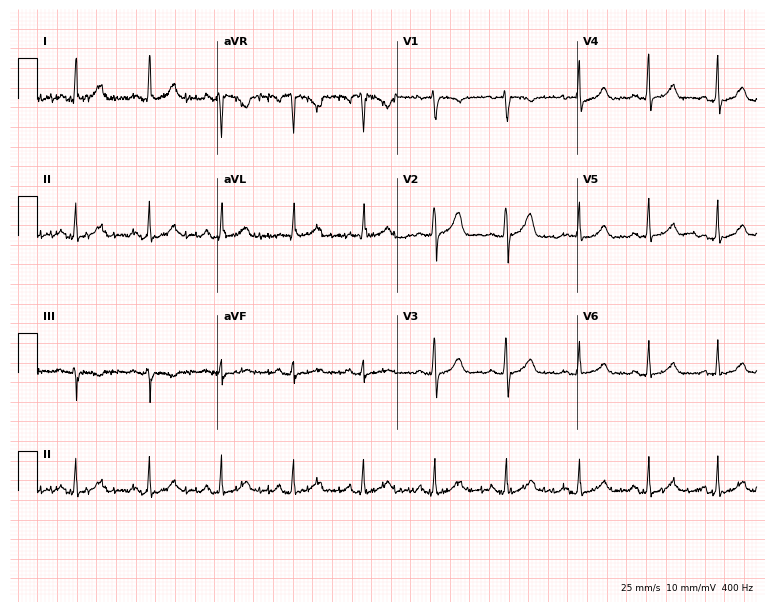
Standard 12-lead ECG recorded from a female patient, 62 years old. Read as a normal ECG.